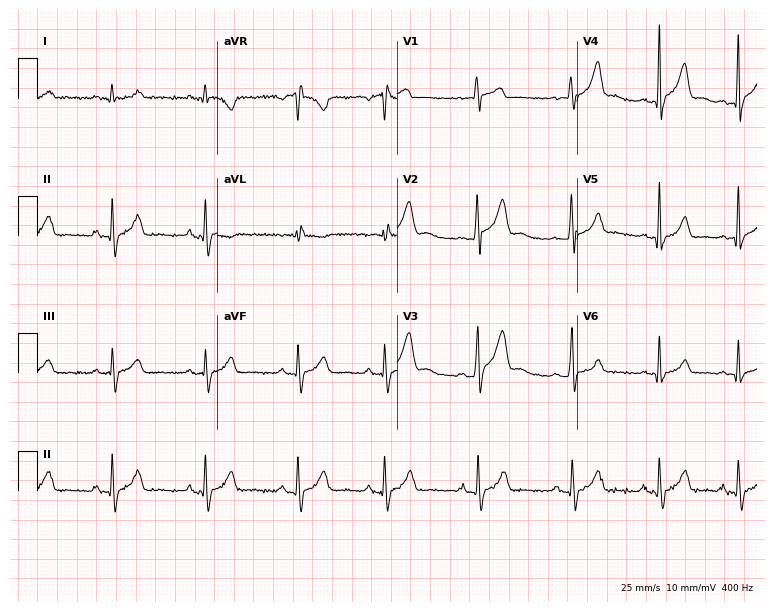
12-lead ECG from a male, 22 years old (7.3-second recording at 400 Hz). Recorded interpretation: within normal limits.